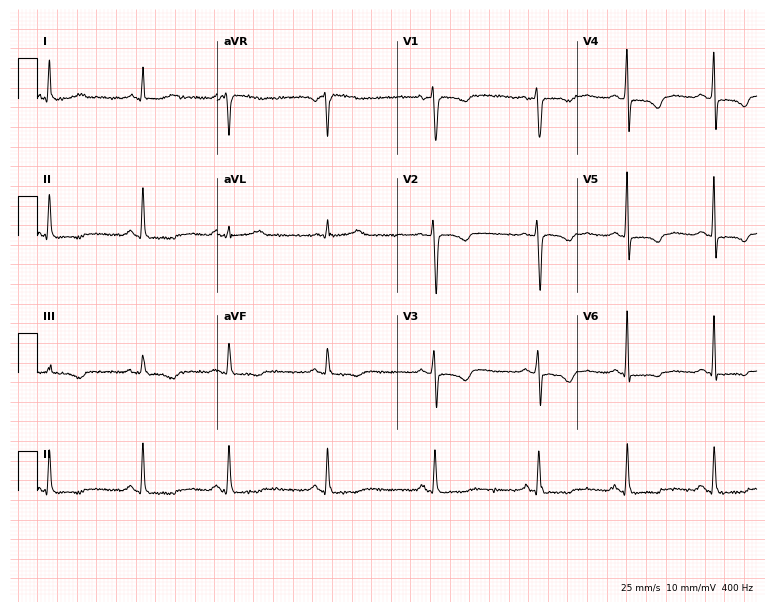
ECG — a 45-year-old female. Screened for six findings — first-degree AV block, right bundle branch block, left bundle branch block, sinus bradycardia, atrial fibrillation, sinus tachycardia — none is recorded. Only these six findings were labelled.